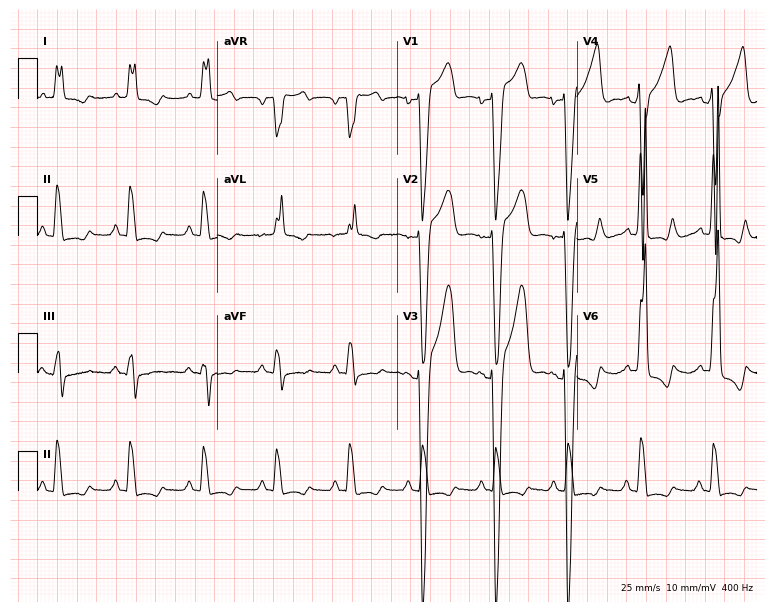
ECG (7.3-second recording at 400 Hz) — a female patient, 76 years old. Findings include left bundle branch block.